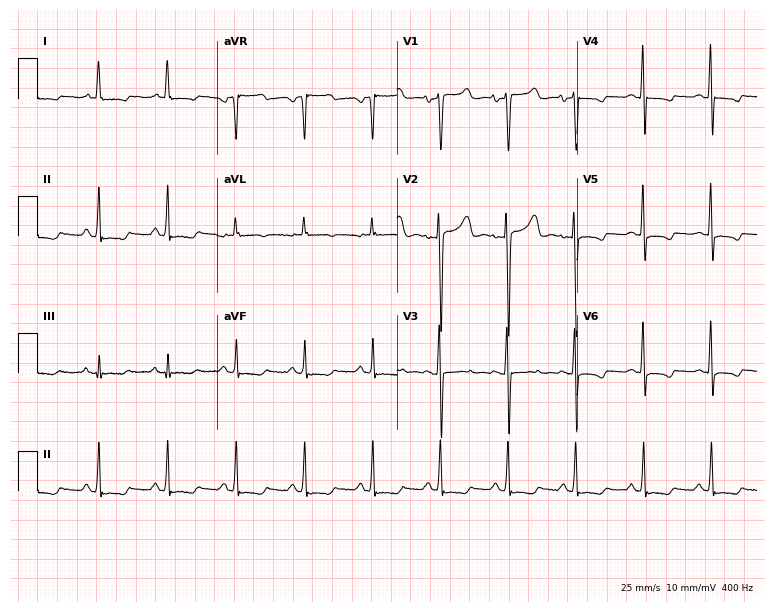
12-lead ECG from a 38-year-old female patient (7.3-second recording at 400 Hz). No first-degree AV block, right bundle branch block (RBBB), left bundle branch block (LBBB), sinus bradycardia, atrial fibrillation (AF) or sinus tachycardia recorded for this tracing.